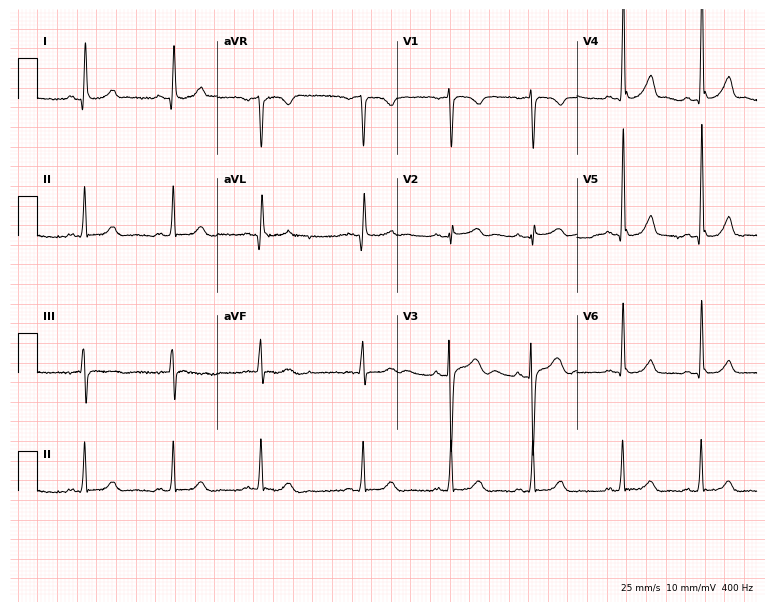
Standard 12-lead ECG recorded from a female patient, 23 years old. None of these six findings is recorded: first-degree AV block, right bundle branch block, left bundle branch block, sinus bradycardia, atrial fibrillation, sinus tachycardia. Other findings, if any, are not listed.